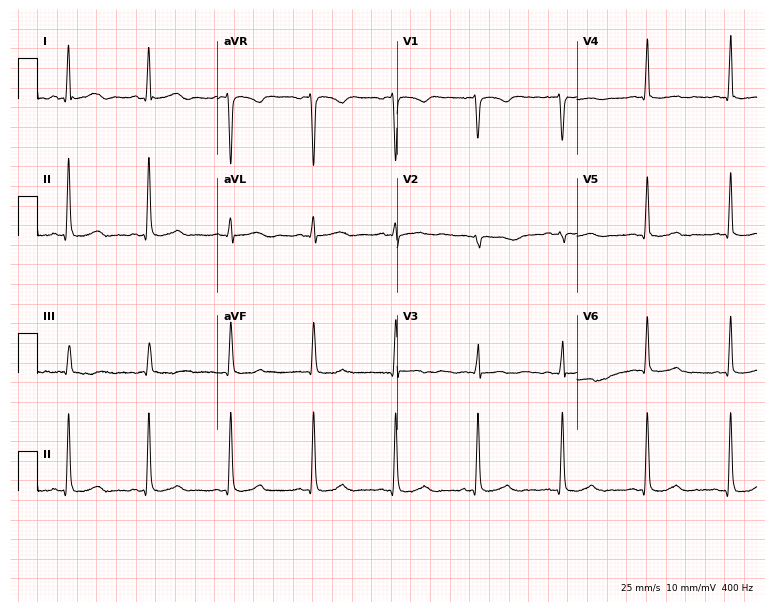
Standard 12-lead ECG recorded from a woman, 50 years old (7.3-second recording at 400 Hz). Read as a normal ECG.